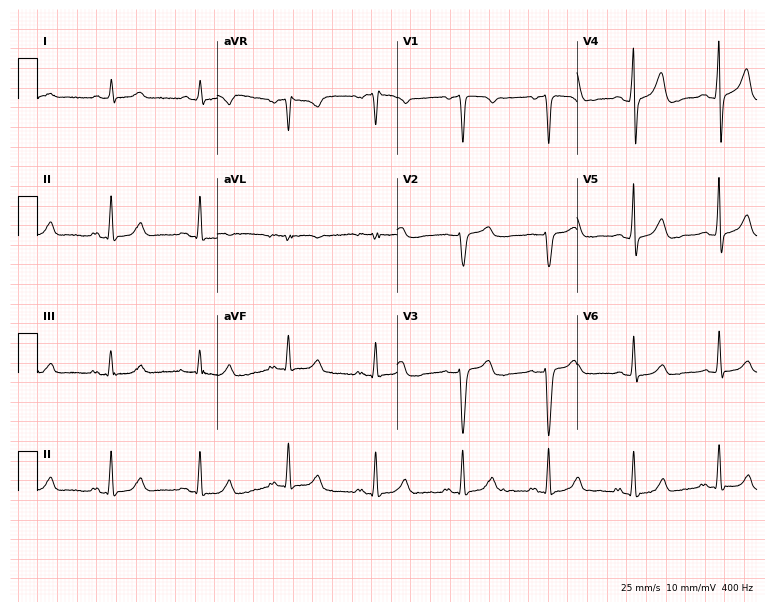
12-lead ECG from a 63-year-old man (7.3-second recording at 400 Hz). No first-degree AV block, right bundle branch block, left bundle branch block, sinus bradycardia, atrial fibrillation or sinus tachycardia recorded for this tracing.